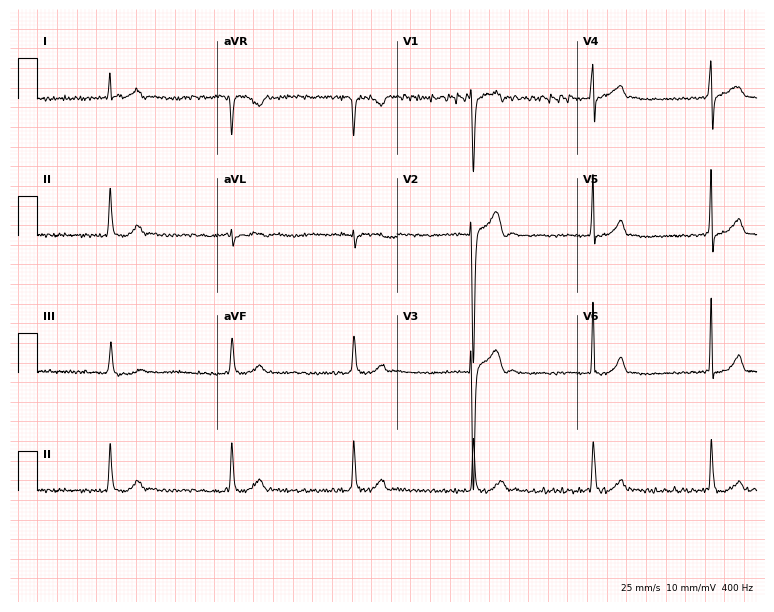
12-lead ECG (7.3-second recording at 400 Hz) from a 28-year-old man. Screened for six findings — first-degree AV block, right bundle branch block, left bundle branch block, sinus bradycardia, atrial fibrillation, sinus tachycardia — none is recorded. Findings outside these six are not listed.